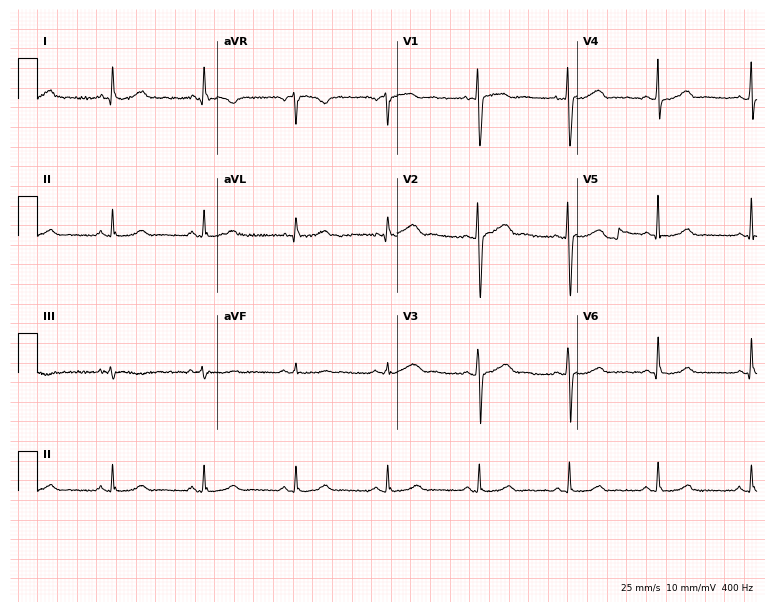
12-lead ECG from a female, 35 years old. Labelled as a normal ECG.